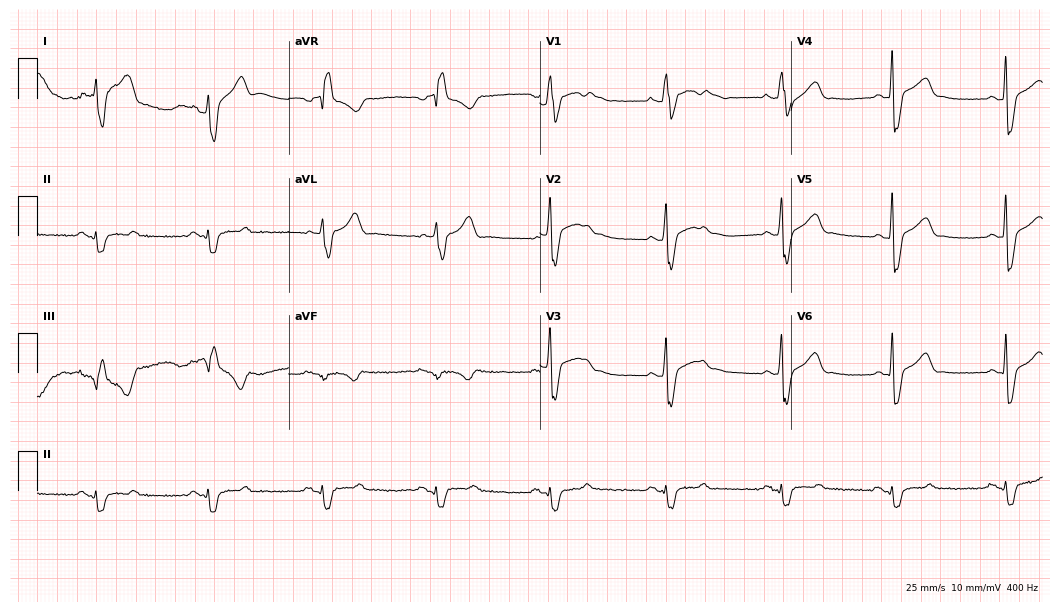
12-lead ECG from a 30-year-old male (10.2-second recording at 400 Hz). No first-degree AV block, right bundle branch block, left bundle branch block, sinus bradycardia, atrial fibrillation or sinus tachycardia recorded for this tracing.